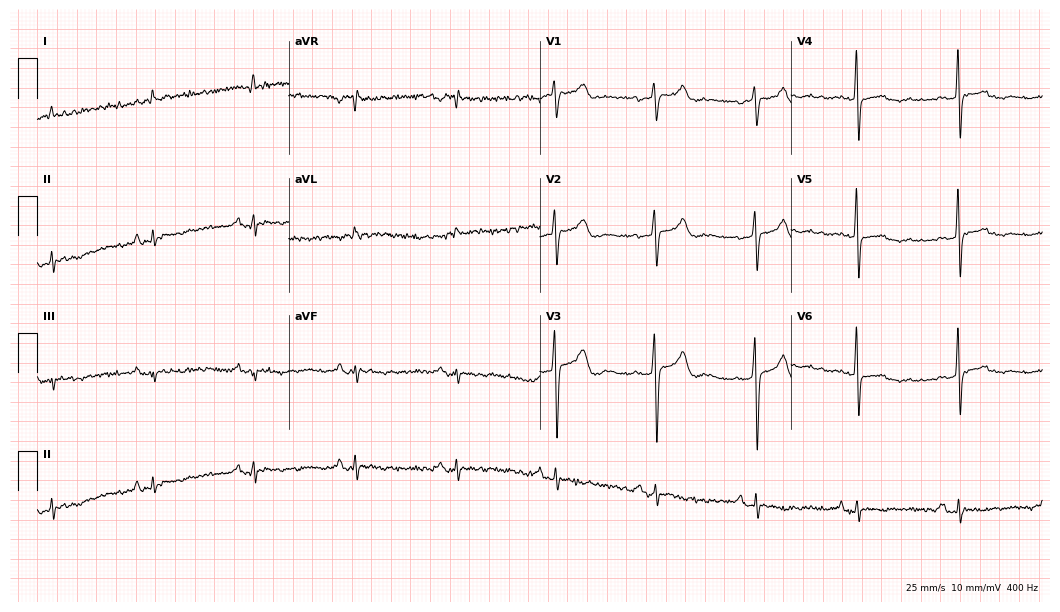
Electrocardiogram, a male, 59 years old. Of the six screened findings (first-degree AV block, right bundle branch block, left bundle branch block, sinus bradycardia, atrial fibrillation, sinus tachycardia), none is recorded.